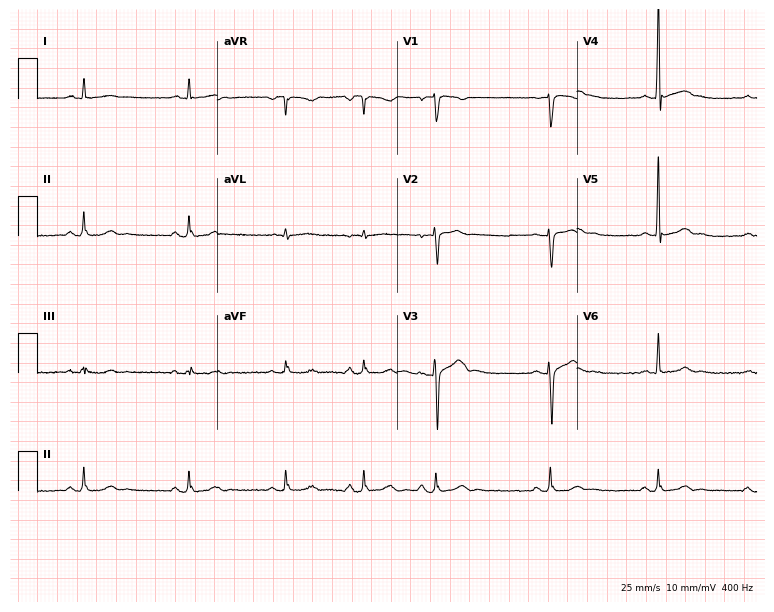
Electrocardiogram (7.3-second recording at 400 Hz), a male, 25 years old. Overall reading on record: normal ECG.